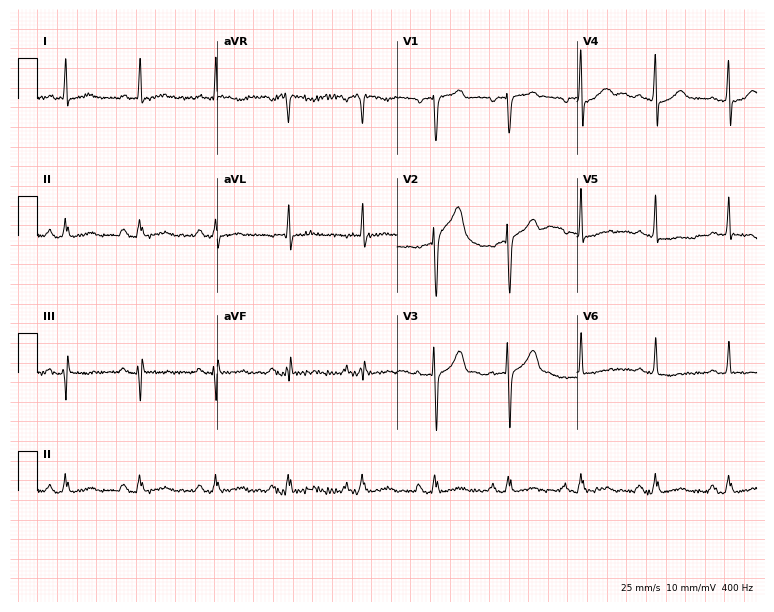
Resting 12-lead electrocardiogram. Patient: a female, 56 years old. None of these six findings is recorded: first-degree AV block, right bundle branch block, left bundle branch block, sinus bradycardia, atrial fibrillation, sinus tachycardia. Only these six findings were labelled.